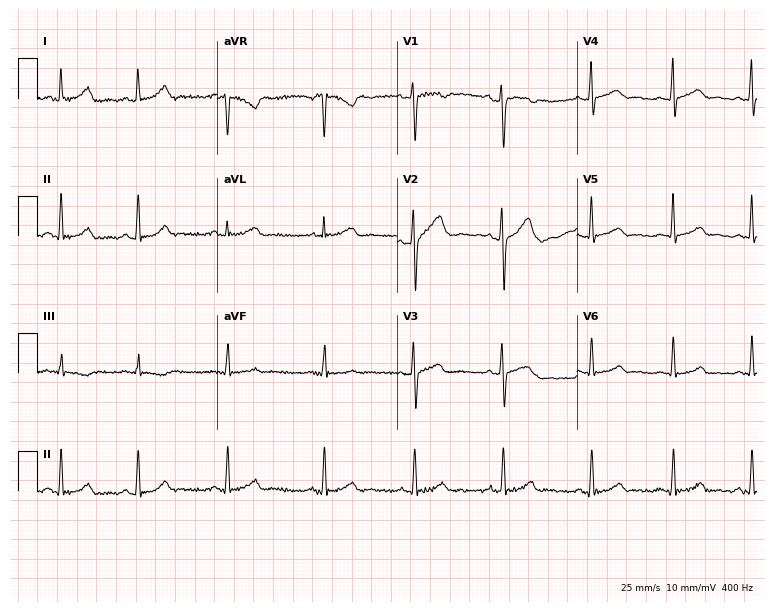
Standard 12-lead ECG recorded from a 31-year-old woman. Read as a normal ECG.